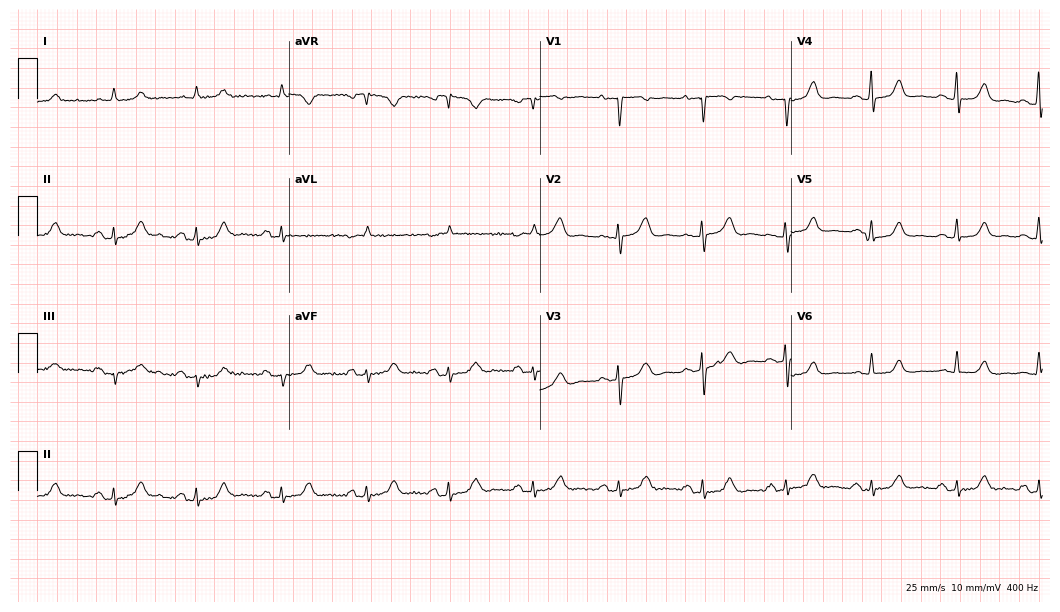
Resting 12-lead electrocardiogram (10.2-second recording at 400 Hz). Patient: a female, 82 years old. Read as a normal ECG.